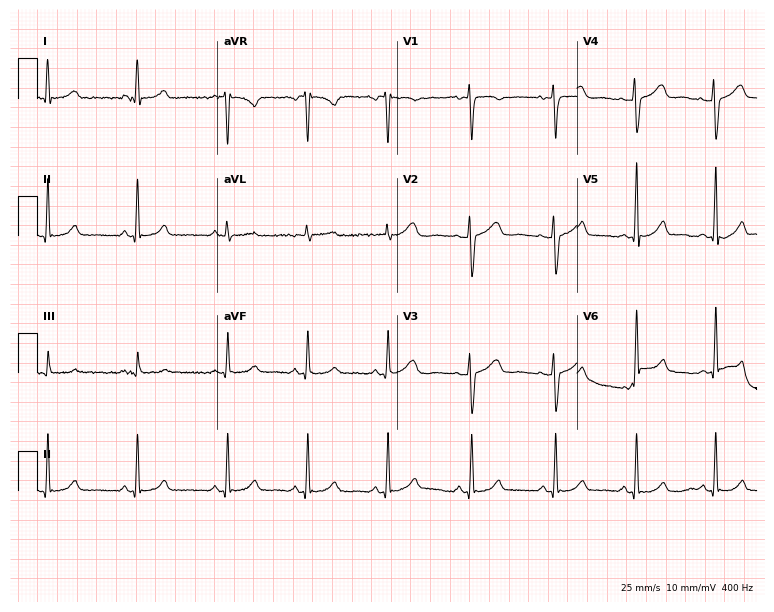
Resting 12-lead electrocardiogram (7.3-second recording at 400 Hz). Patient: a 40-year-old woman. Read as a normal ECG.